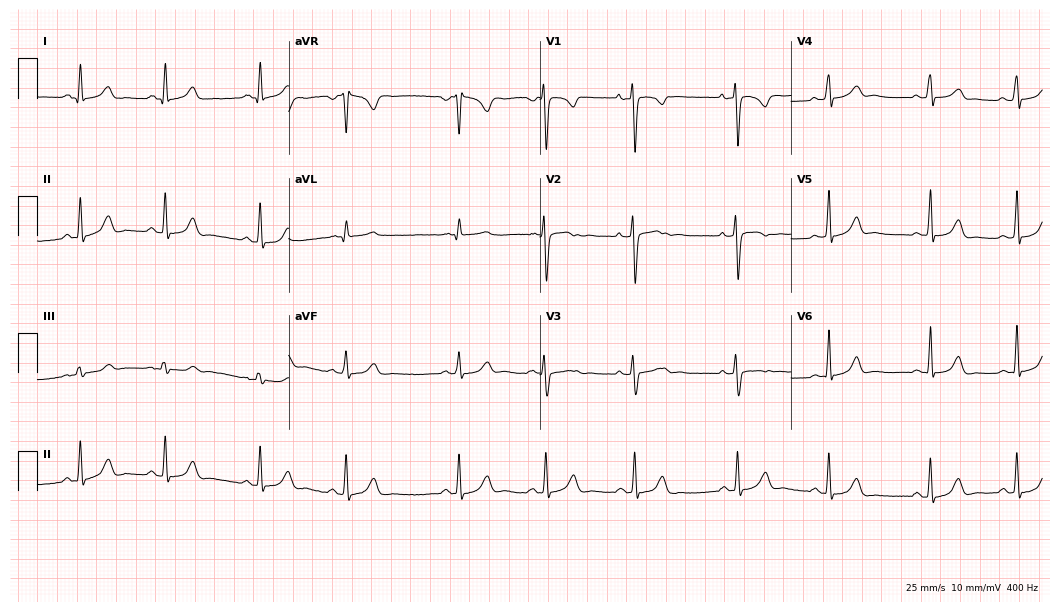
12-lead ECG (10.2-second recording at 400 Hz) from a female, 29 years old. Labelled as a normal ECG.